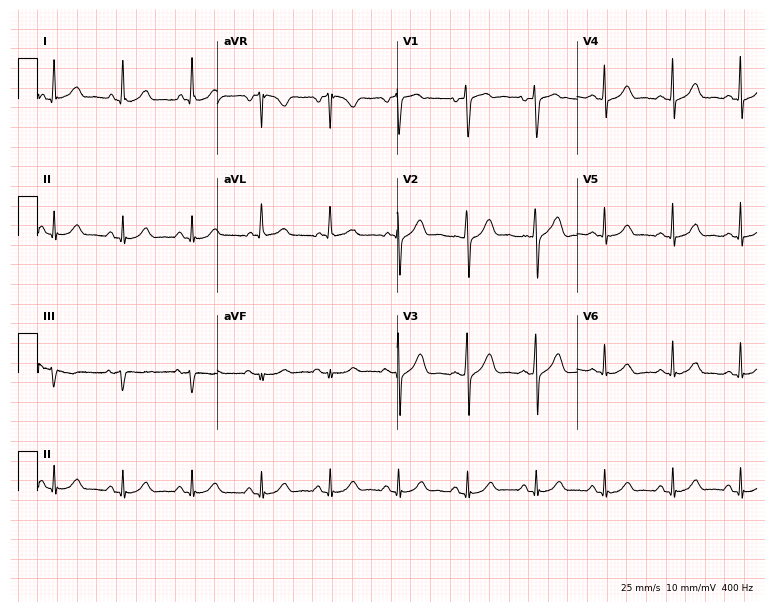
Standard 12-lead ECG recorded from a 68-year-old female. Read as a normal ECG.